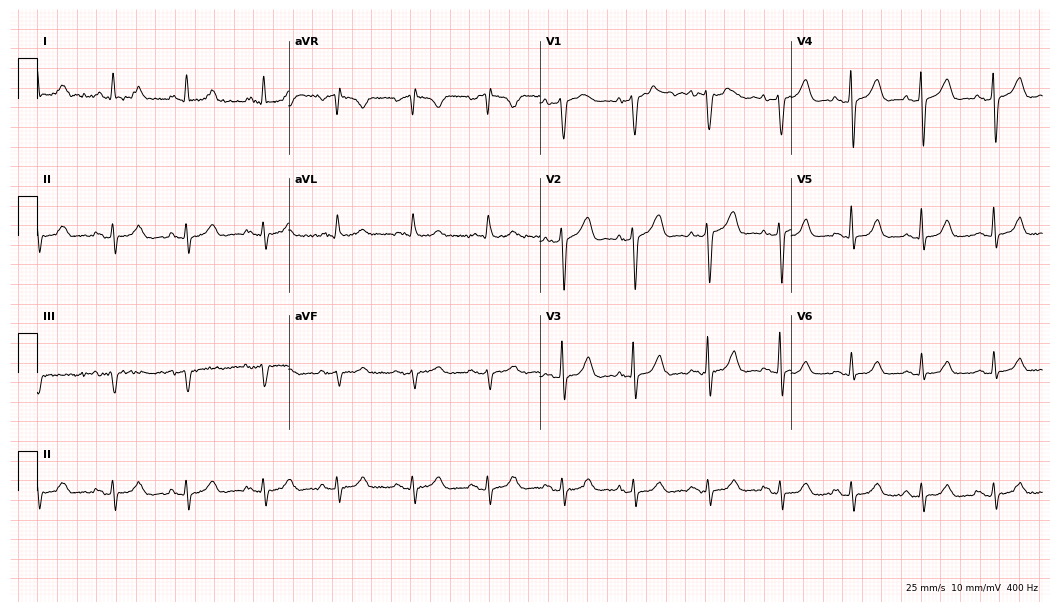
Electrocardiogram (10.2-second recording at 400 Hz), a female patient, 76 years old. Of the six screened findings (first-degree AV block, right bundle branch block, left bundle branch block, sinus bradycardia, atrial fibrillation, sinus tachycardia), none is recorded.